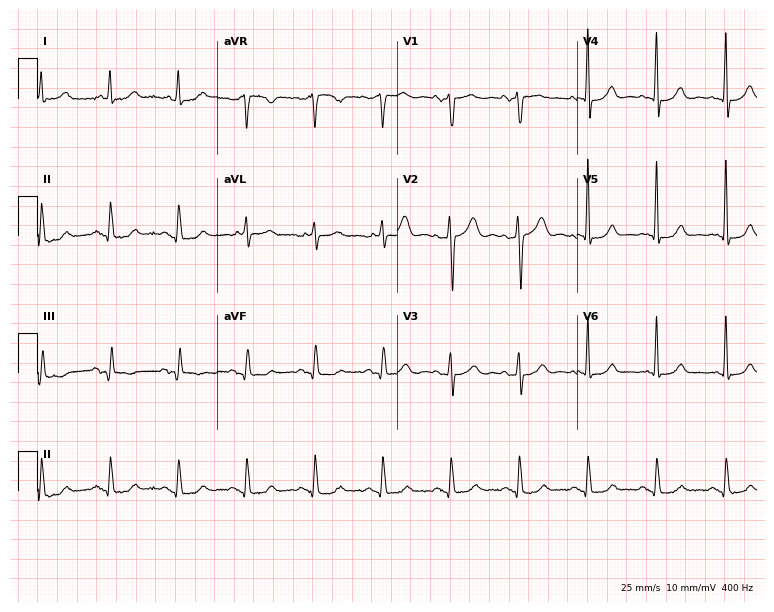
12-lead ECG from a 75-year-old man. Labelled as a normal ECG.